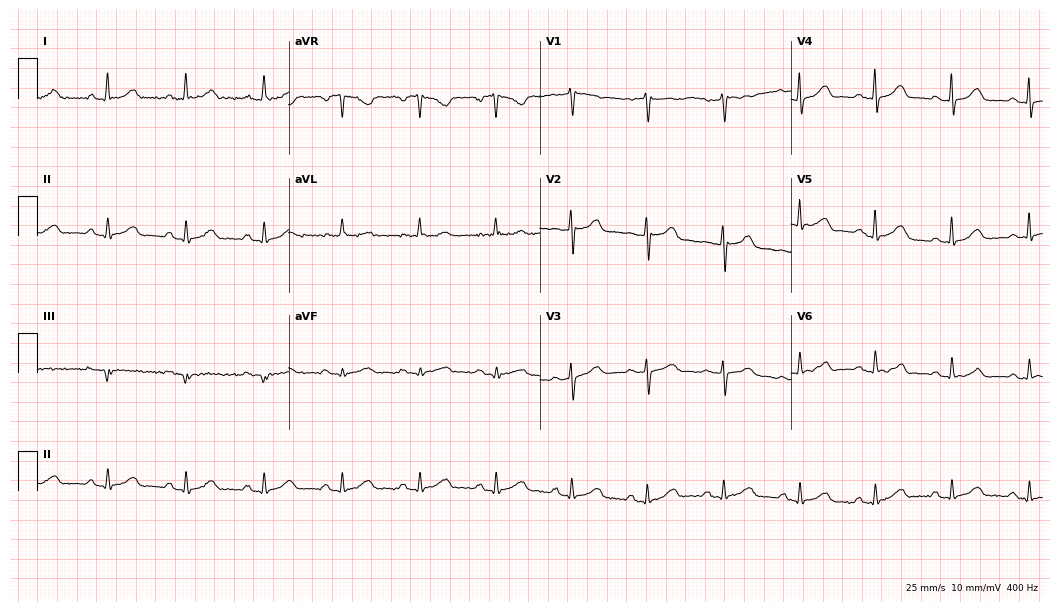
12-lead ECG from a woman, 64 years old (10.2-second recording at 400 Hz). Recorded interpretation: within normal limits.